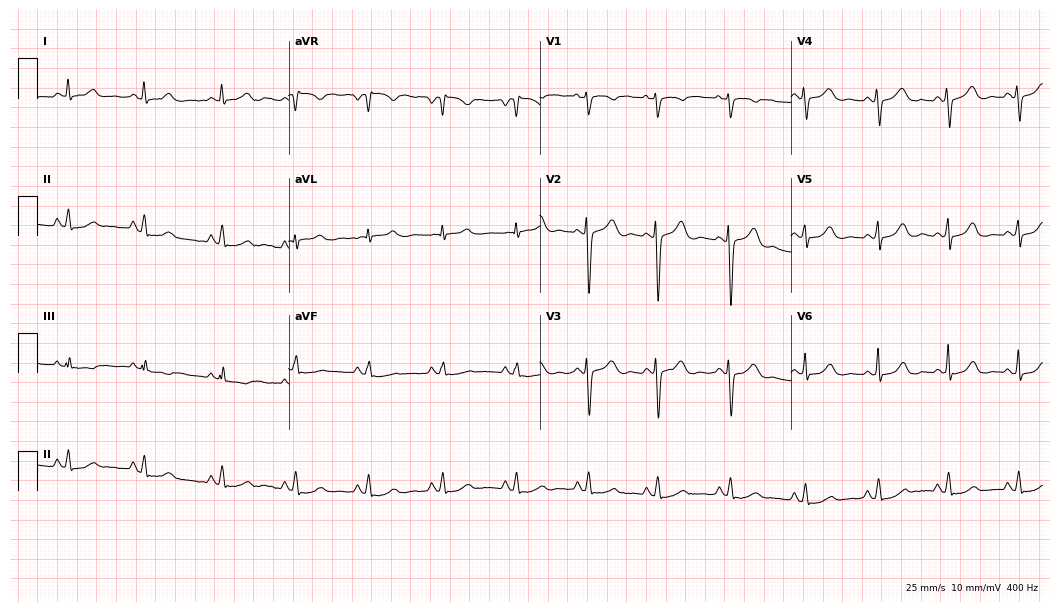
12-lead ECG from a female, 19 years old (10.2-second recording at 400 Hz). Recorded interpretation: within normal limits.